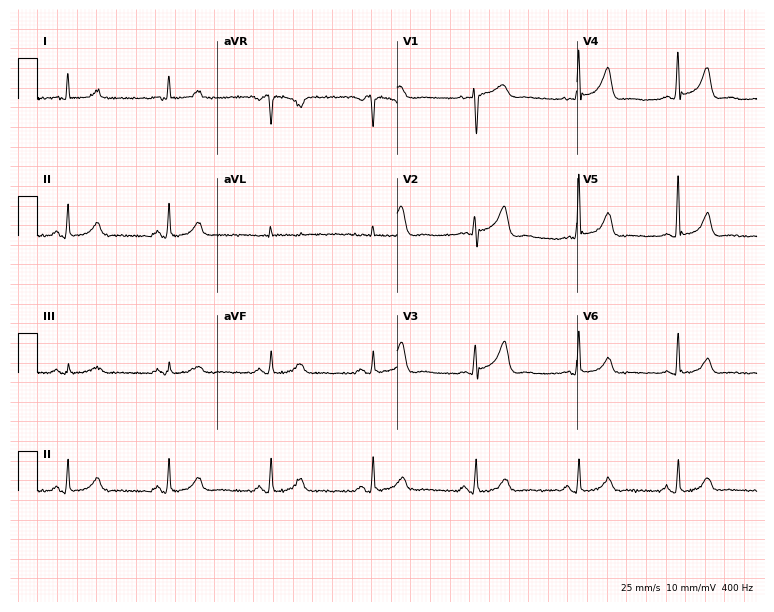
Standard 12-lead ECG recorded from a 69-year-old female patient. None of these six findings is recorded: first-degree AV block, right bundle branch block, left bundle branch block, sinus bradycardia, atrial fibrillation, sinus tachycardia.